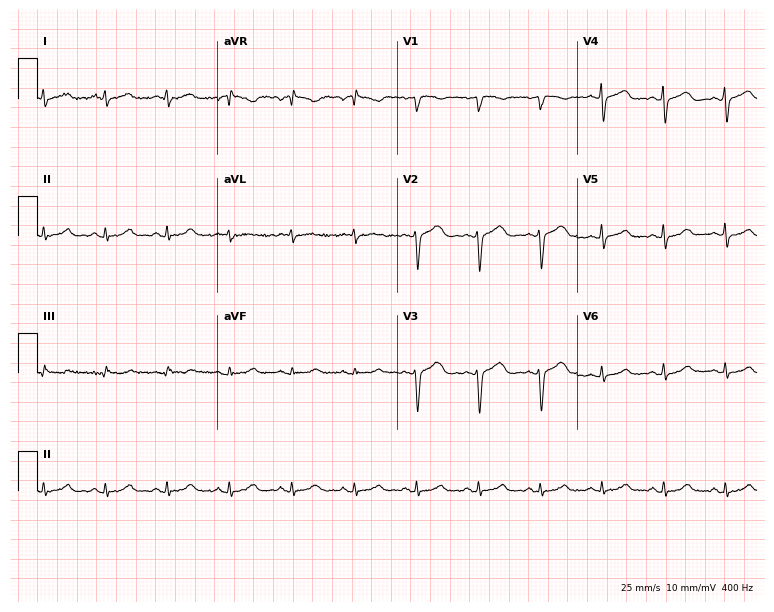
Resting 12-lead electrocardiogram (7.3-second recording at 400 Hz). Patient: a female, 36 years old. Read as a normal ECG.